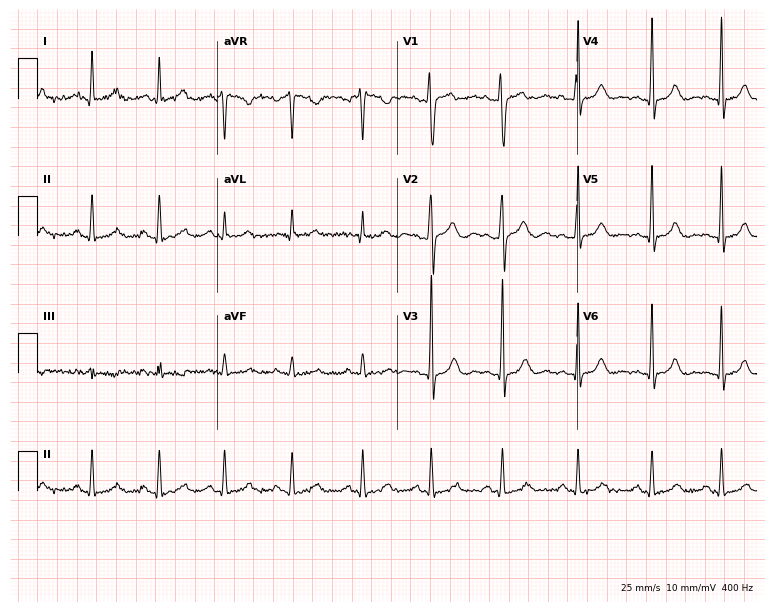
Standard 12-lead ECG recorded from a woman, 26 years old. Read as a normal ECG.